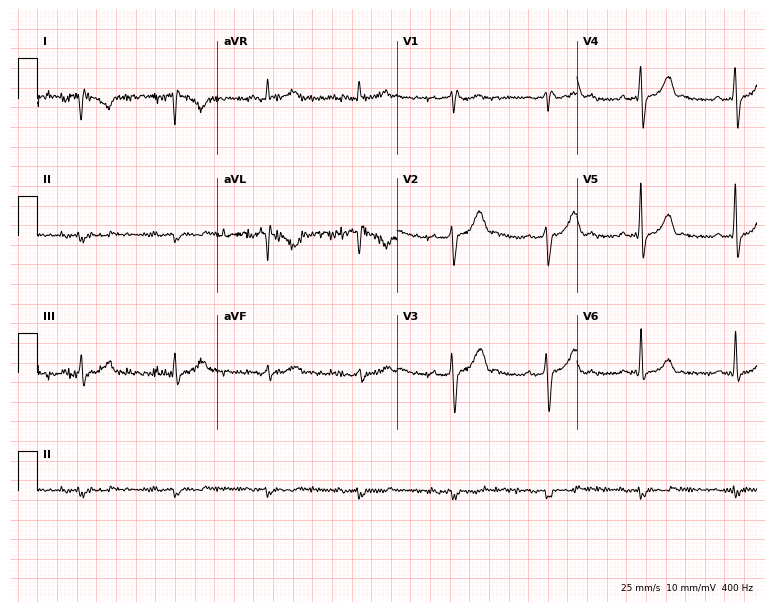
Electrocardiogram (7.3-second recording at 400 Hz), a 61-year-old male patient. Of the six screened findings (first-degree AV block, right bundle branch block, left bundle branch block, sinus bradycardia, atrial fibrillation, sinus tachycardia), none is recorded. Only these six findings were labelled.